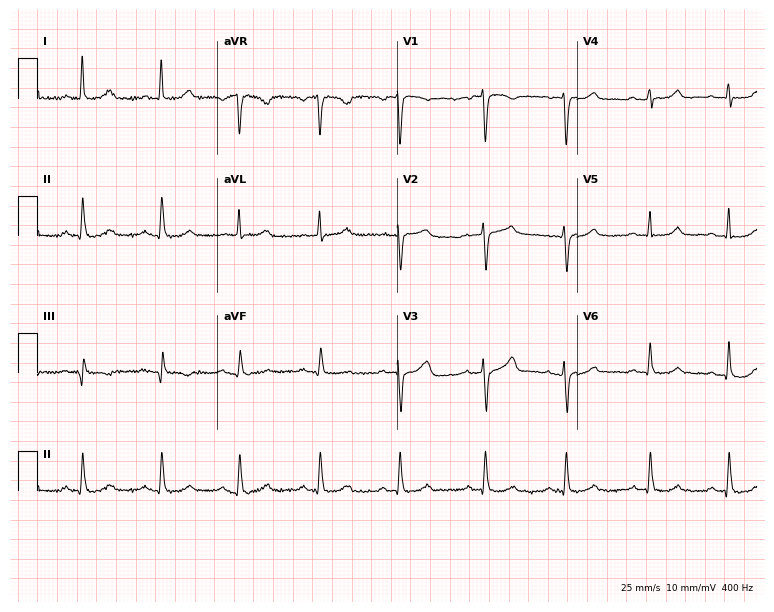
Resting 12-lead electrocardiogram (7.3-second recording at 400 Hz). Patient: a female, 52 years old. Read as a normal ECG.